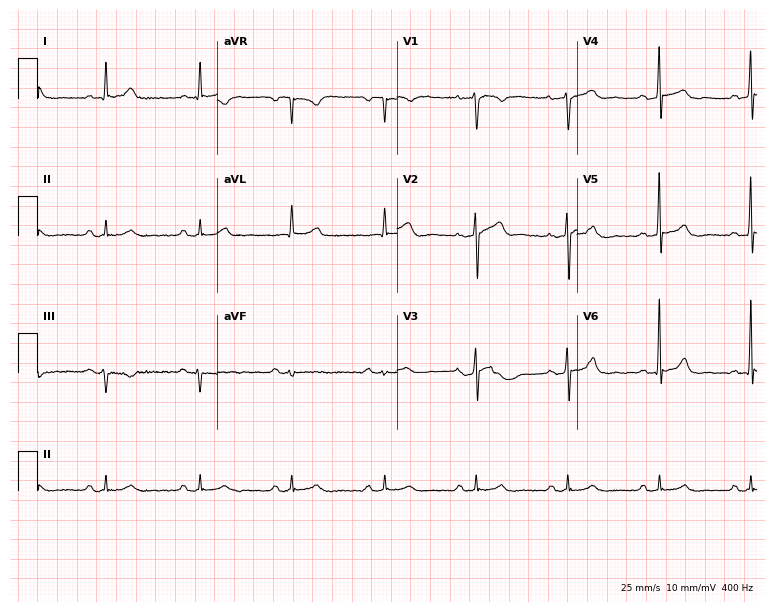
12-lead ECG (7.3-second recording at 400 Hz) from a man, 65 years old. Labelled as a normal ECG.